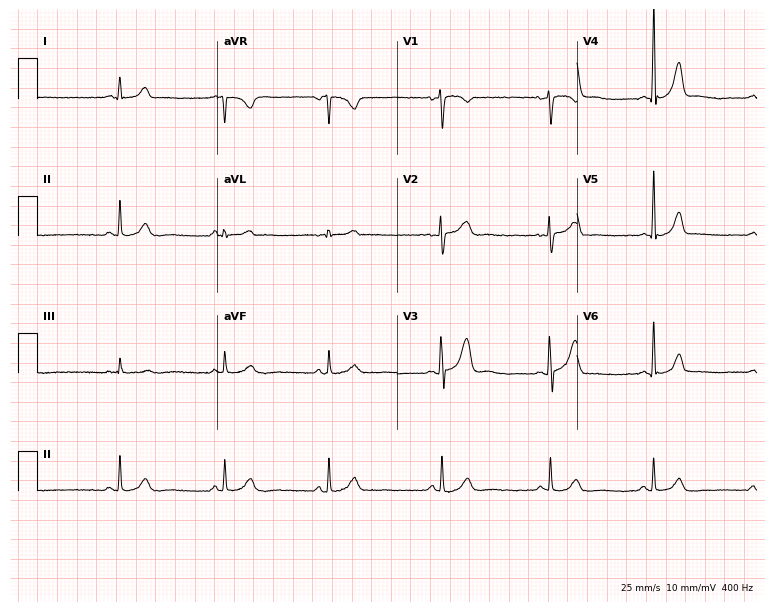
ECG — a 21-year-old female patient. Labelled as a normal ECG.